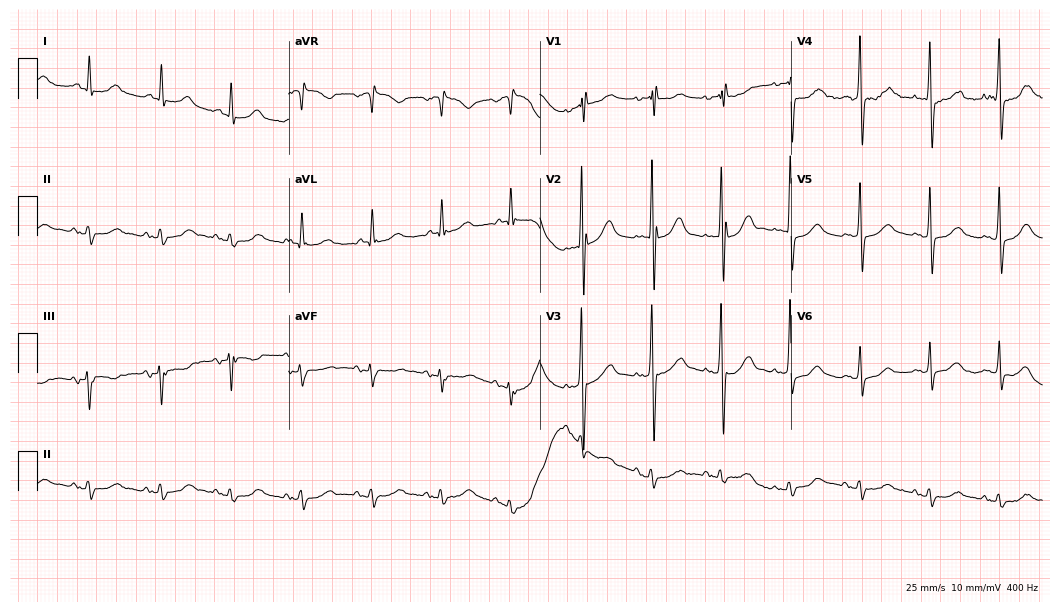
ECG (10.2-second recording at 400 Hz) — a 79-year-old female patient. Screened for six findings — first-degree AV block, right bundle branch block (RBBB), left bundle branch block (LBBB), sinus bradycardia, atrial fibrillation (AF), sinus tachycardia — none is recorded.